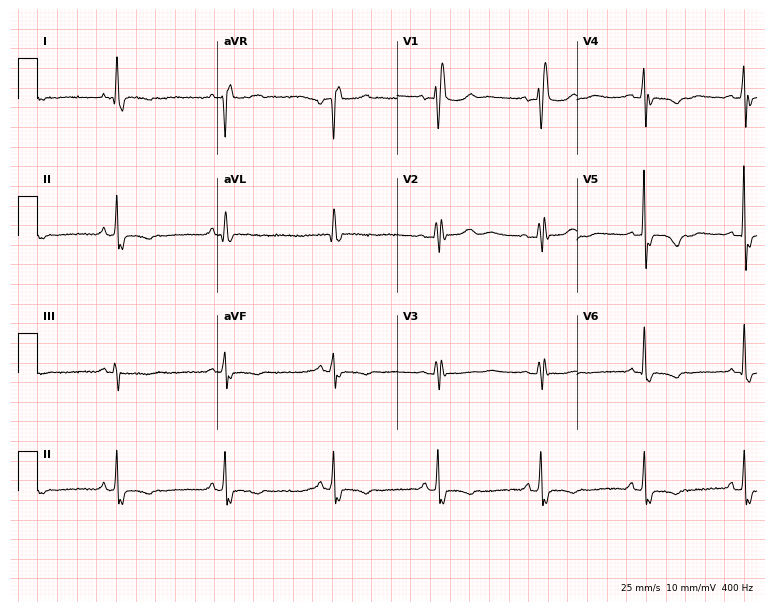
Standard 12-lead ECG recorded from a 58-year-old female. The tracing shows right bundle branch block.